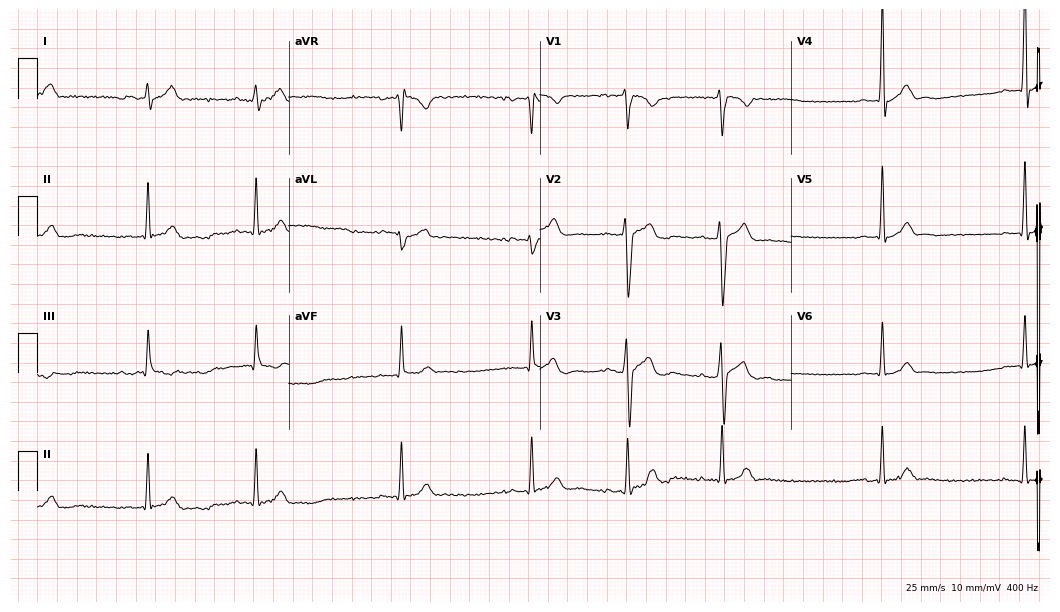
ECG — a 22-year-old male patient. Findings include sinus bradycardia (a sinus rate of 50 beats per minute or less).